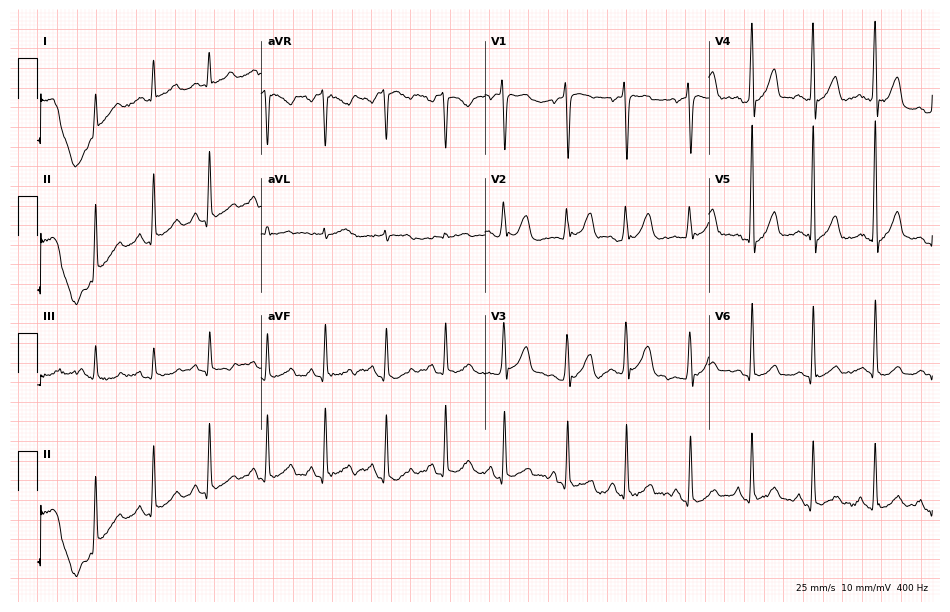
Standard 12-lead ECG recorded from an 18-year-old man (9.1-second recording at 400 Hz). Read as a normal ECG.